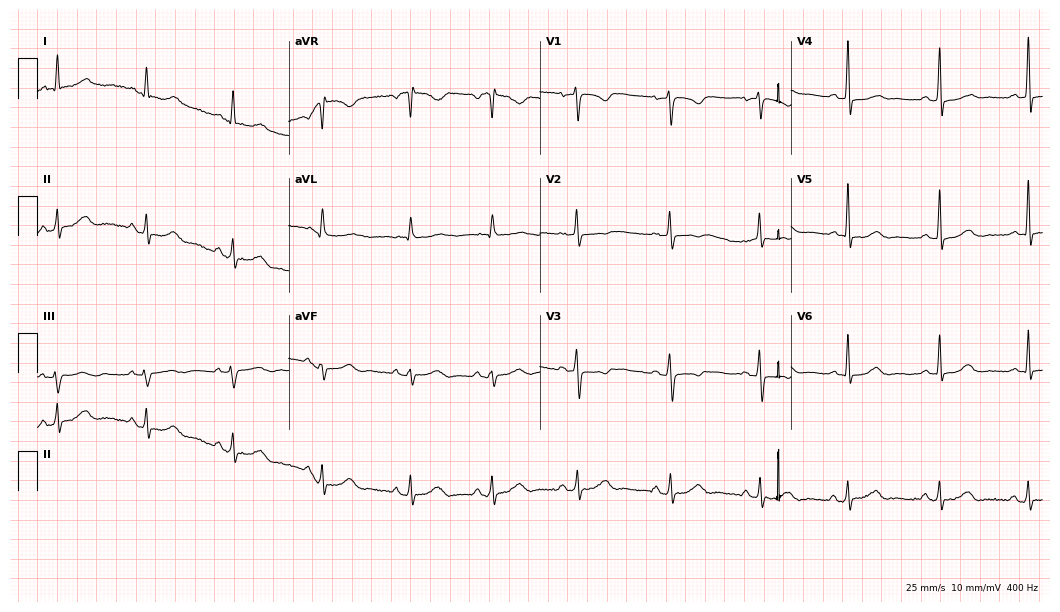
12-lead ECG from a 35-year-old female patient. No first-degree AV block, right bundle branch block, left bundle branch block, sinus bradycardia, atrial fibrillation or sinus tachycardia recorded for this tracing. Findings outside these six are not listed.